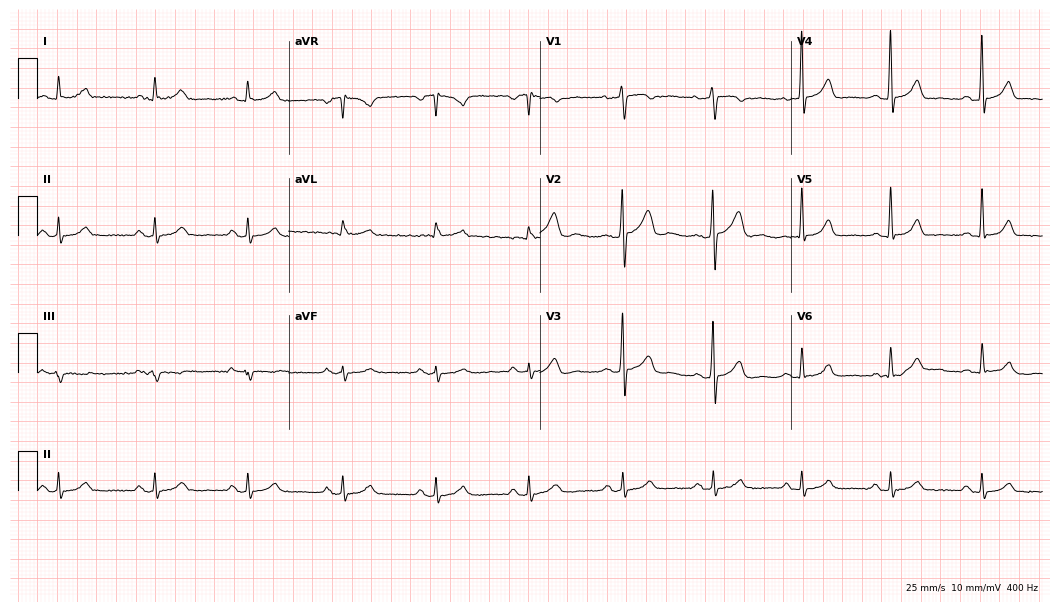
ECG (10.2-second recording at 400 Hz) — a male patient, 56 years old. Labelled as a normal ECG.